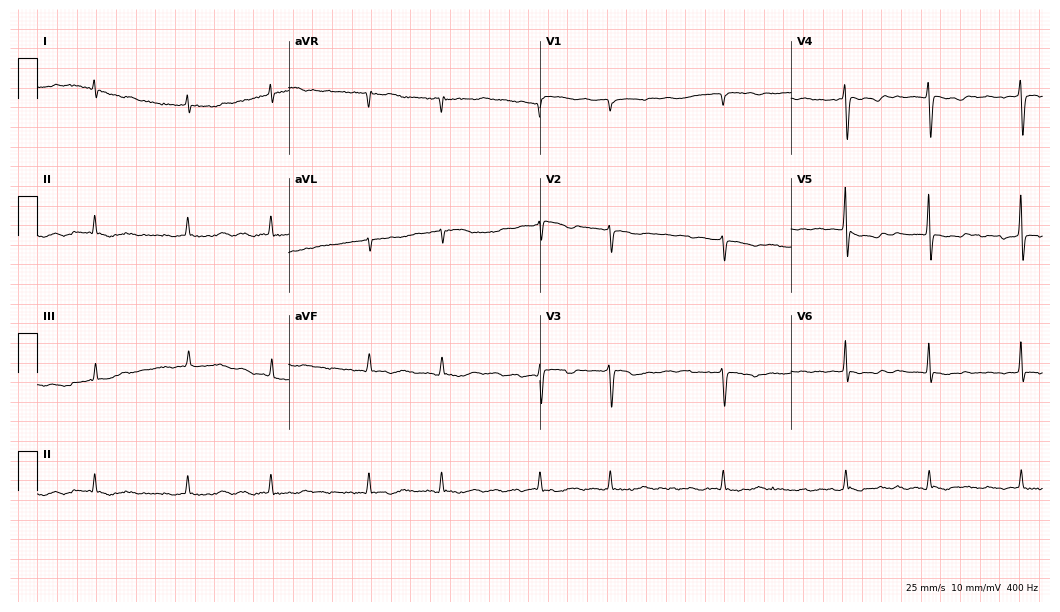
ECG (10.2-second recording at 400 Hz) — a woman, 81 years old. Findings include atrial fibrillation.